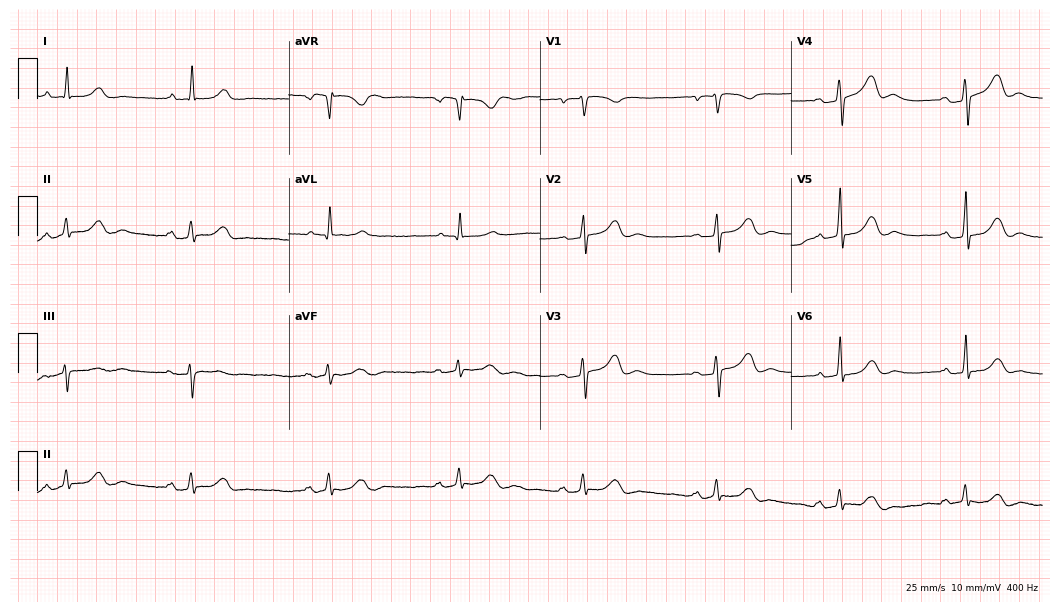
ECG — a 68-year-old woman. Findings include first-degree AV block, sinus bradycardia (a sinus rate of 50 beats per minute or less).